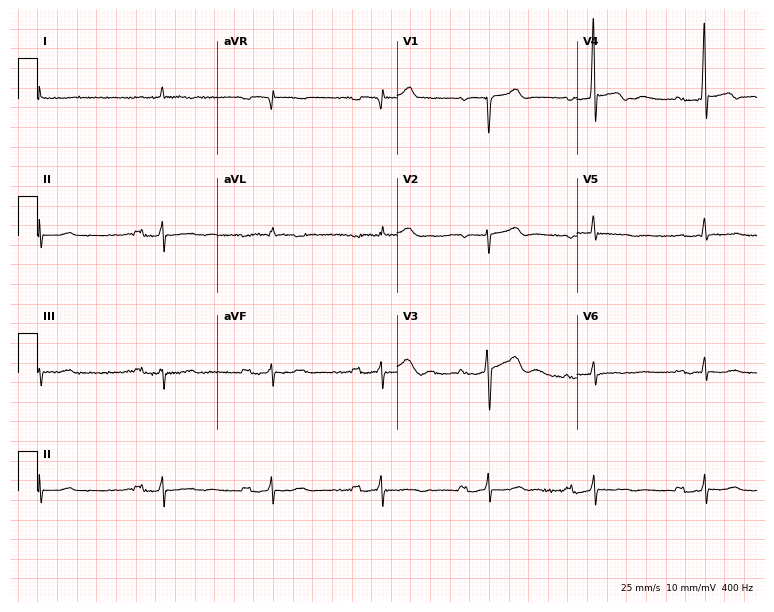
12-lead ECG (7.3-second recording at 400 Hz) from a male, 38 years old. Screened for six findings — first-degree AV block, right bundle branch block, left bundle branch block, sinus bradycardia, atrial fibrillation, sinus tachycardia — none is recorded.